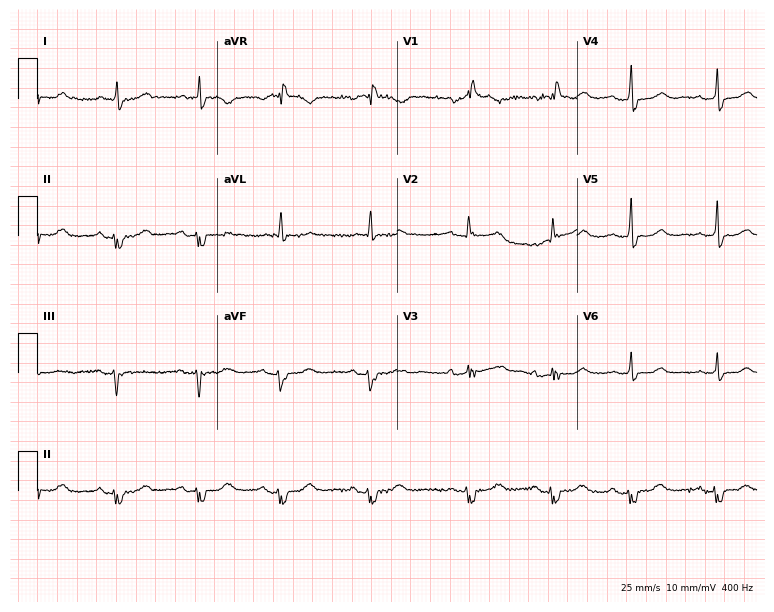
12-lead ECG from a 79-year-old female patient. Findings include right bundle branch block.